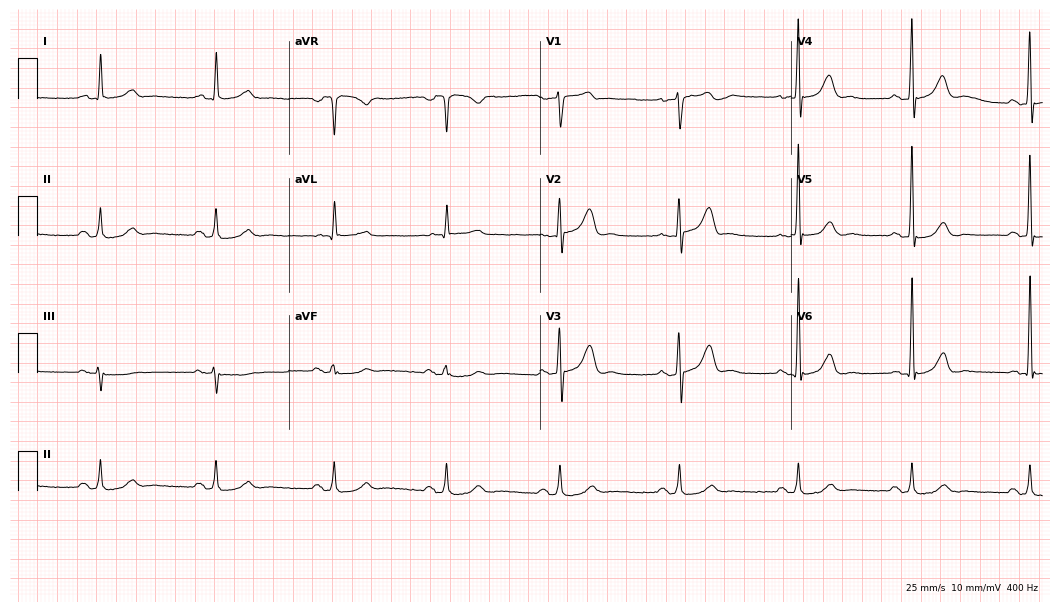
Standard 12-lead ECG recorded from a man, 73 years old. None of these six findings is recorded: first-degree AV block, right bundle branch block (RBBB), left bundle branch block (LBBB), sinus bradycardia, atrial fibrillation (AF), sinus tachycardia.